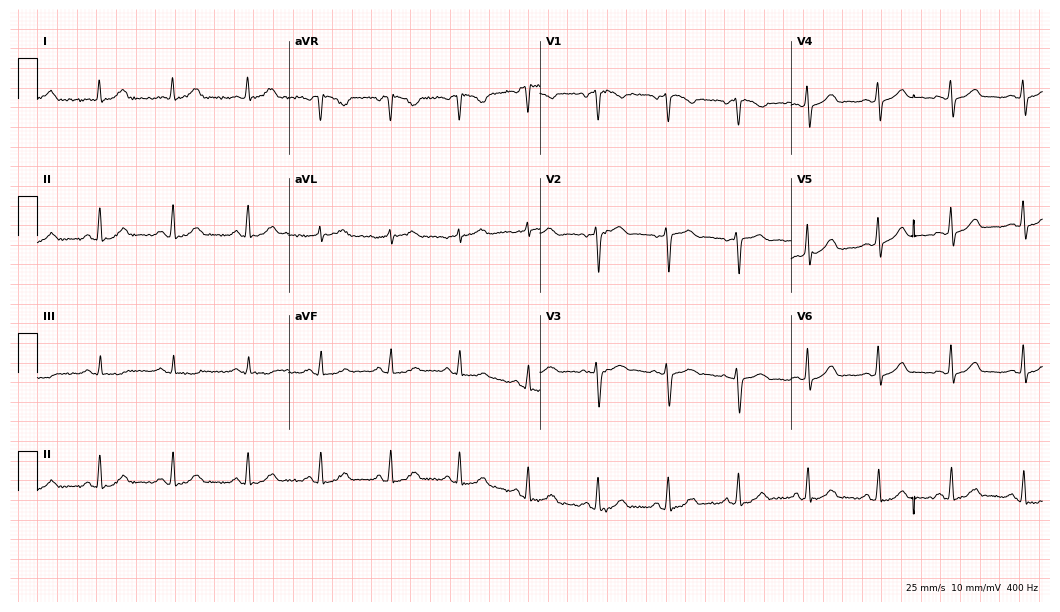
12-lead ECG from a 45-year-old female patient. Recorded interpretation: within normal limits.